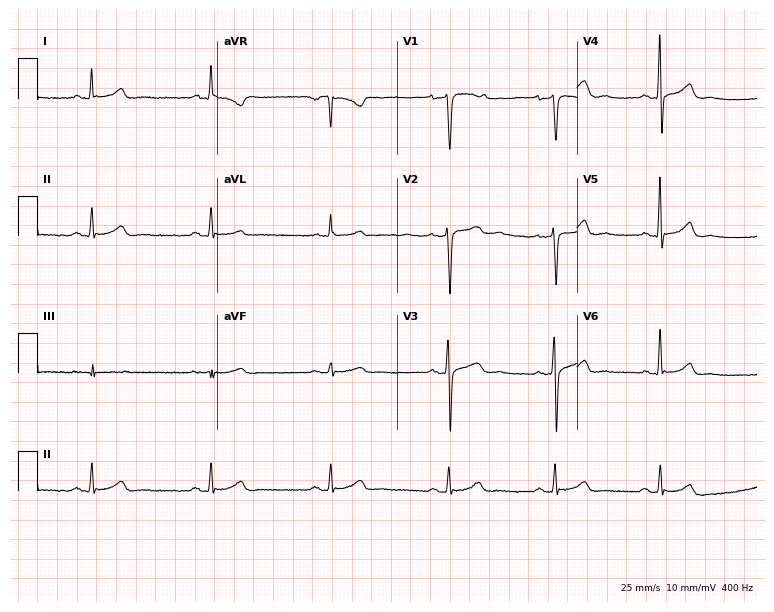
ECG (7.3-second recording at 400 Hz) — a male patient, 51 years old. Screened for six findings — first-degree AV block, right bundle branch block, left bundle branch block, sinus bradycardia, atrial fibrillation, sinus tachycardia — none is recorded. Only these six findings were labelled.